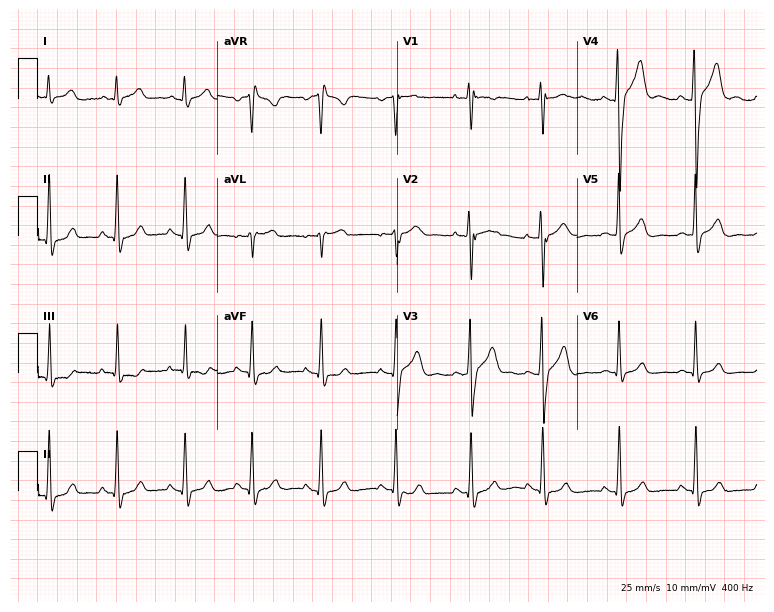
Standard 12-lead ECG recorded from a 30-year-old male. Read as a normal ECG.